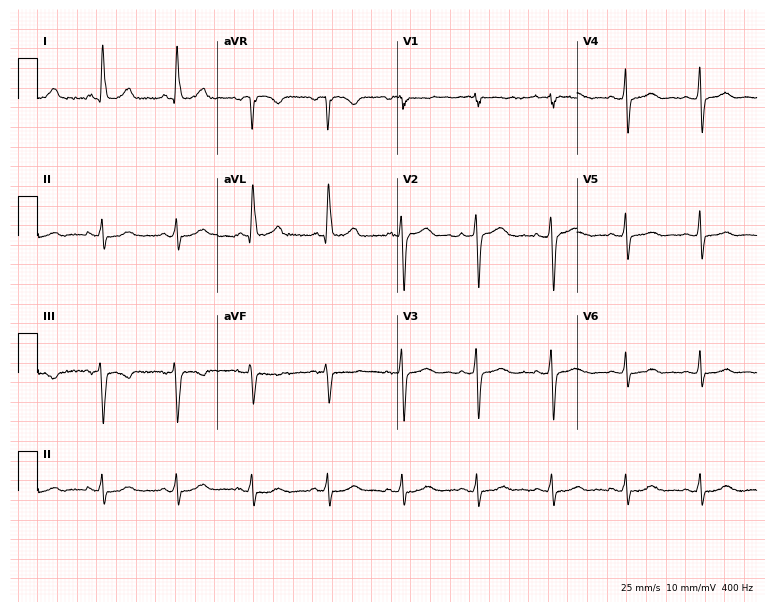
12-lead ECG from a female, 73 years old. Screened for six findings — first-degree AV block, right bundle branch block, left bundle branch block, sinus bradycardia, atrial fibrillation, sinus tachycardia — none is recorded.